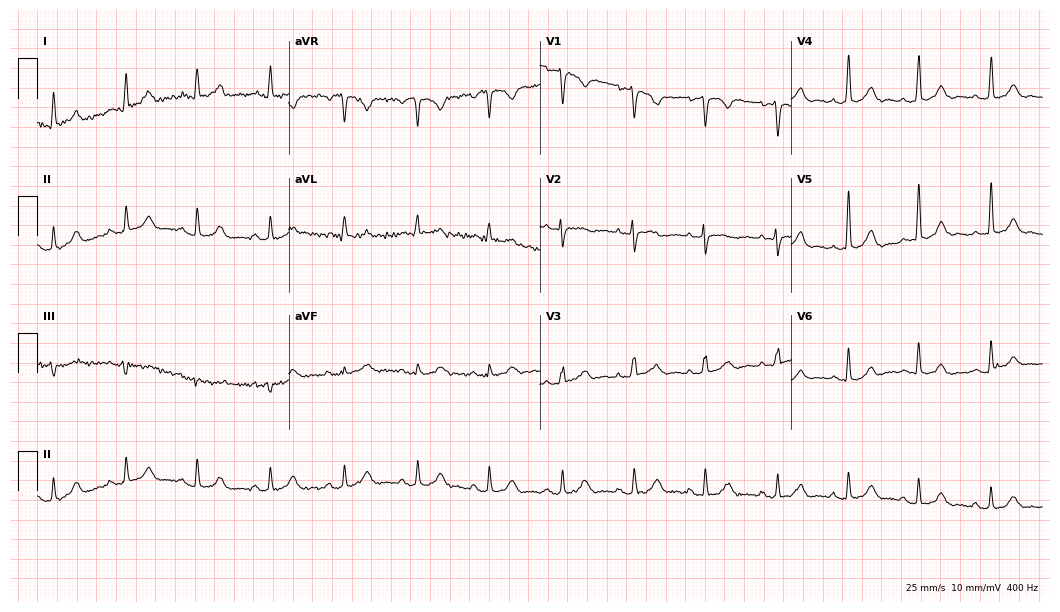
ECG — a 65-year-old male patient. Screened for six findings — first-degree AV block, right bundle branch block, left bundle branch block, sinus bradycardia, atrial fibrillation, sinus tachycardia — none is recorded. Only these six findings were labelled.